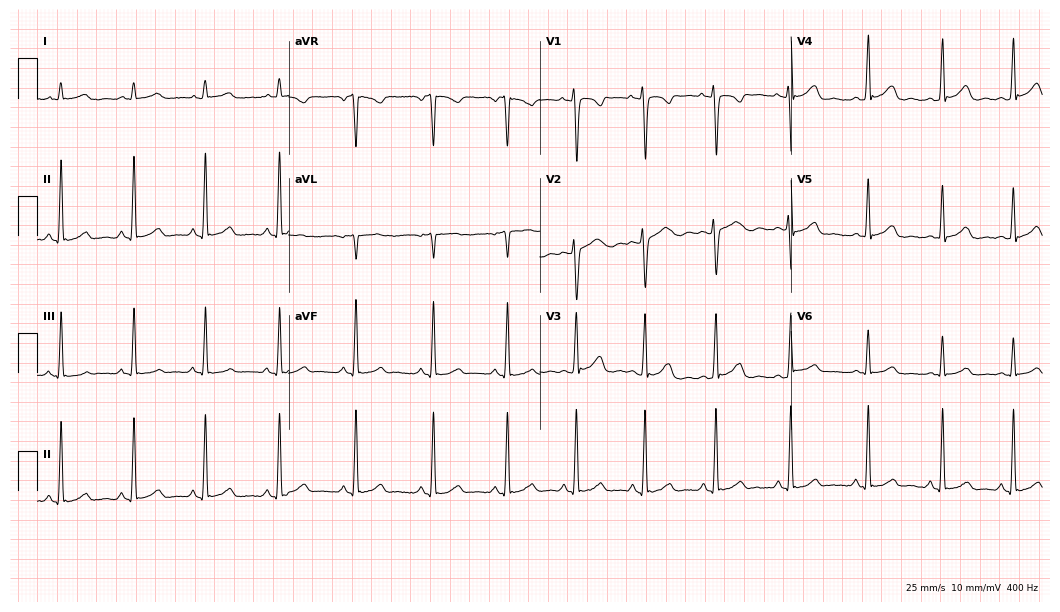
Electrocardiogram, a 22-year-old female. Overall reading on record: normal ECG.